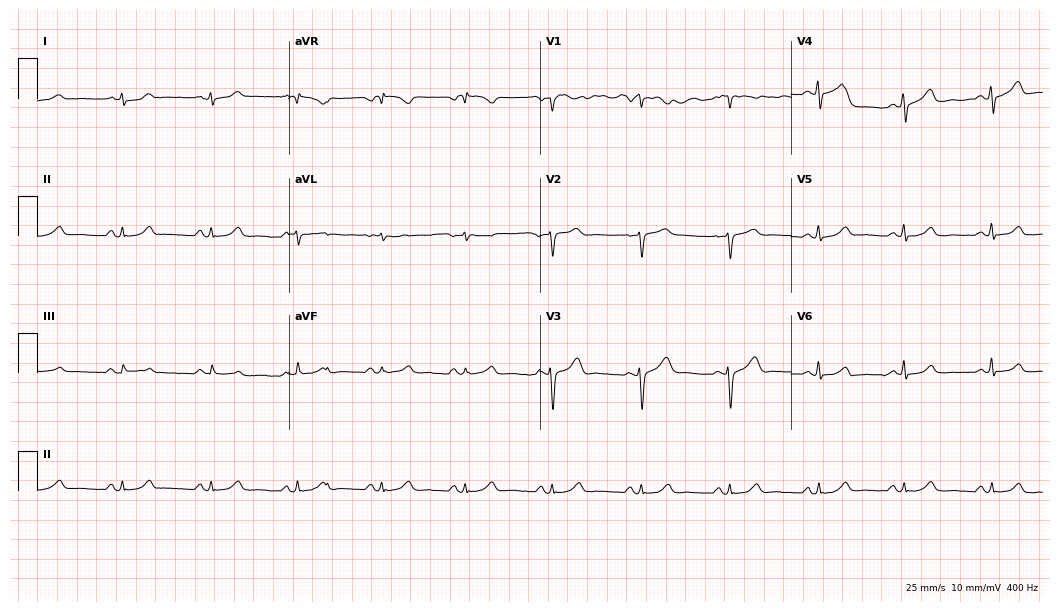
12-lead ECG (10.2-second recording at 400 Hz) from a 45-year-old female. Labelled as a normal ECG.